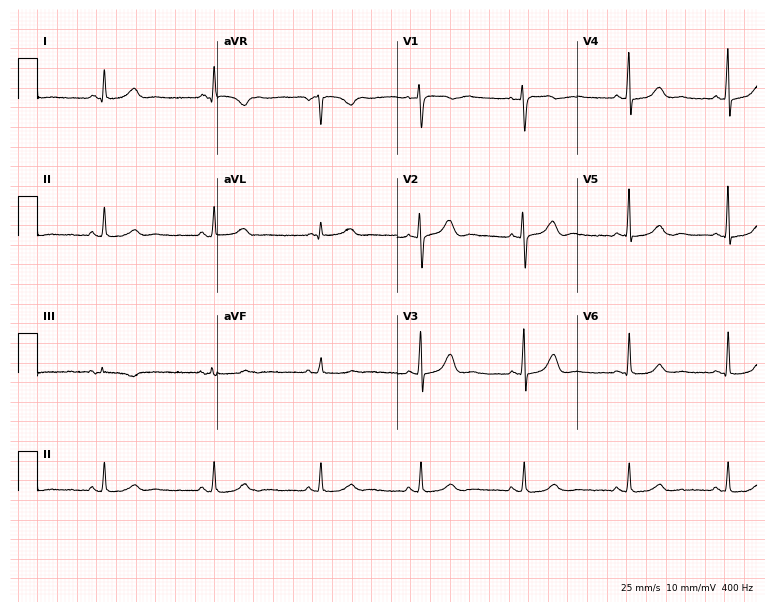
12-lead ECG from a female, 46 years old. No first-degree AV block, right bundle branch block (RBBB), left bundle branch block (LBBB), sinus bradycardia, atrial fibrillation (AF) or sinus tachycardia recorded for this tracing. Only these six findings were labelled.